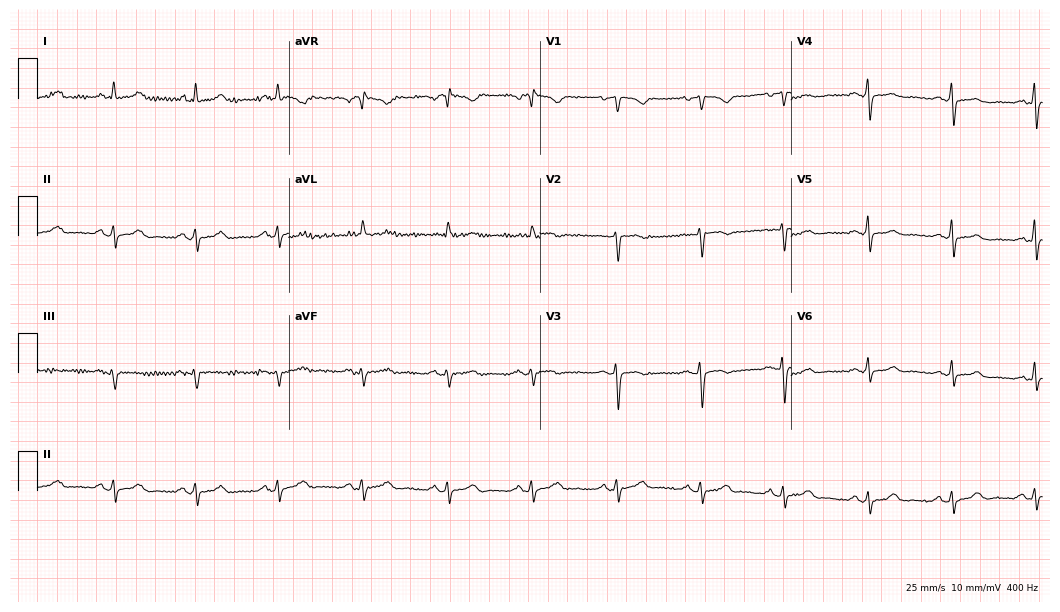
Resting 12-lead electrocardiogram (10.2-second recording at 400 Hz). Patient: a 68-year-old female. None of these six findings is recorded: first-degree AV block, right bundle branch block, left bundle branch block, sinus bradycardia, atrial fibrillation, sinus tachycardia. Other findings, if any, are not listed.